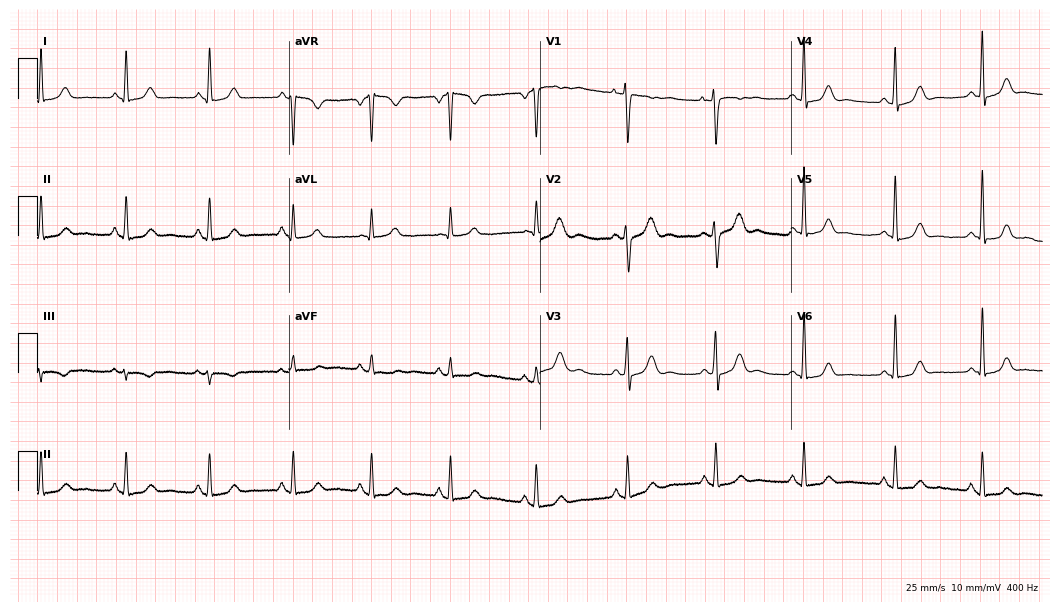
12-lead ECG from a female, 22 years old. Recorded interpretation: within normal limits.